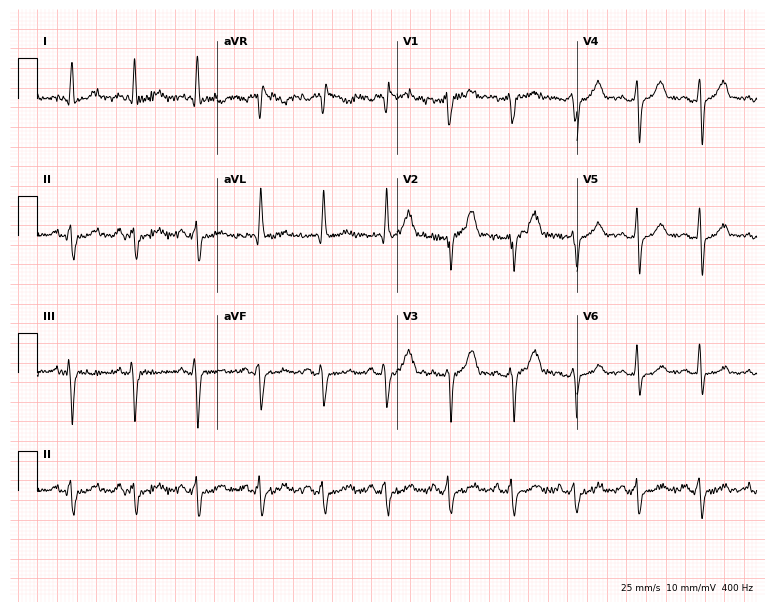
12-lead ECG from a man, 55 years old (7.3-second recording at 400 Hz). No first-degree AV block, right bundle branch block, left bundle branch block, sinus bradycardia, atrial fibrillation or sinus tachycardia recorded for this tracing.